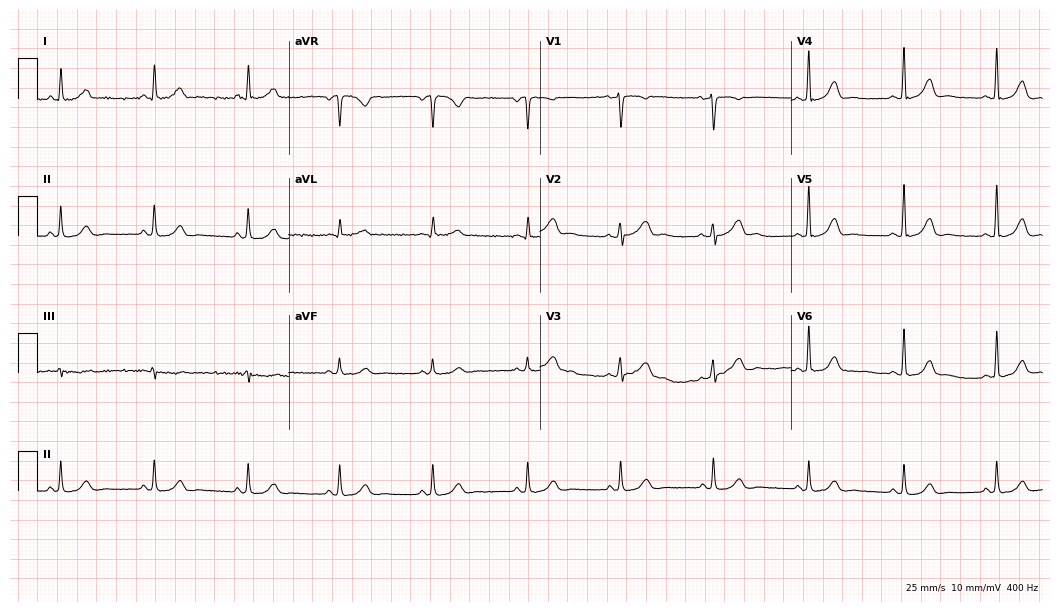
Standard 12-lead ECG recorded from a female patient, 47 years old (10.2-second recording at 400 Hz). Read as a normal ECG.